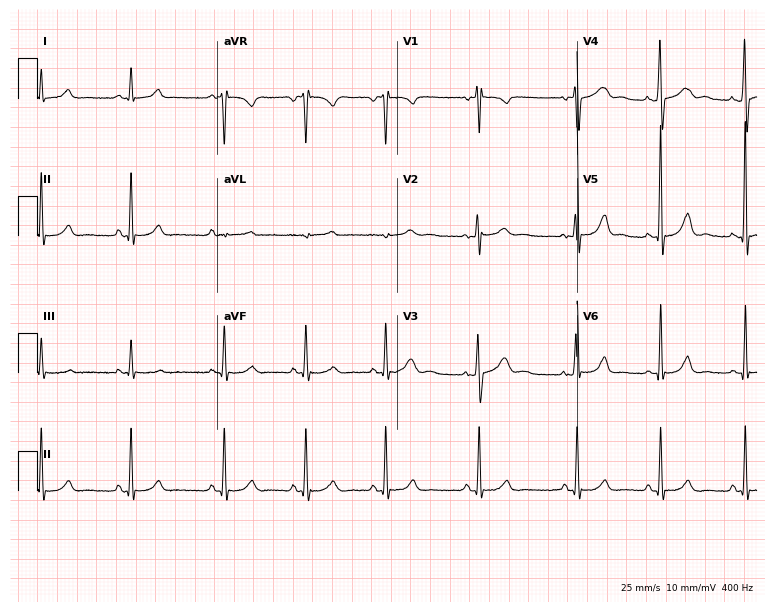
ECG — a female, 35 years old. Labelled as a normal ECG.